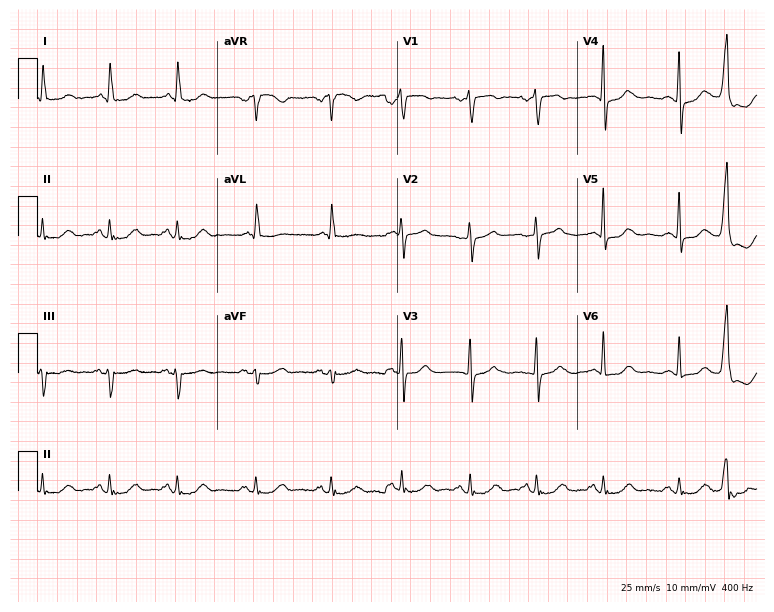
Resting 12-lead electrocardiogram. Patient: a 62-year-old female. Read as a normal ECG.